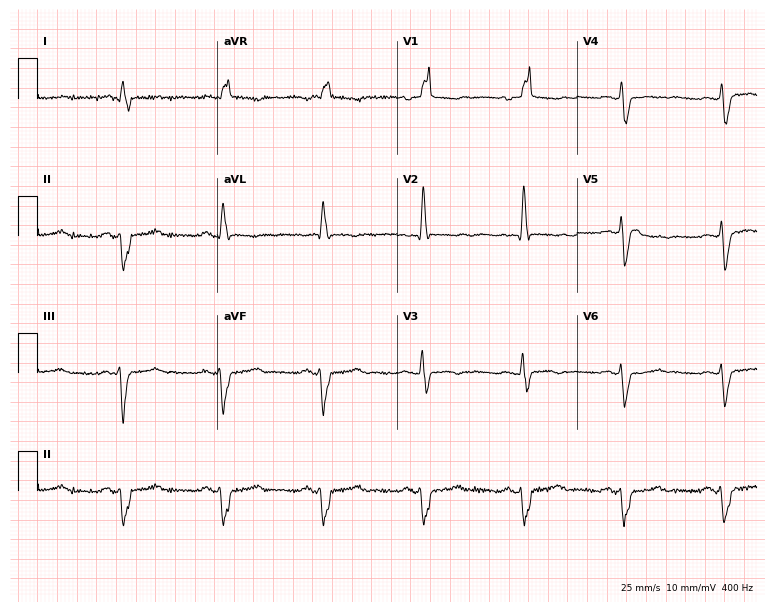
Resting 12-lead electrocardiogram (7.3-second recording at 400 Hz). Patient: a woman, 63 years old. The tracing shows right bundle branch block.